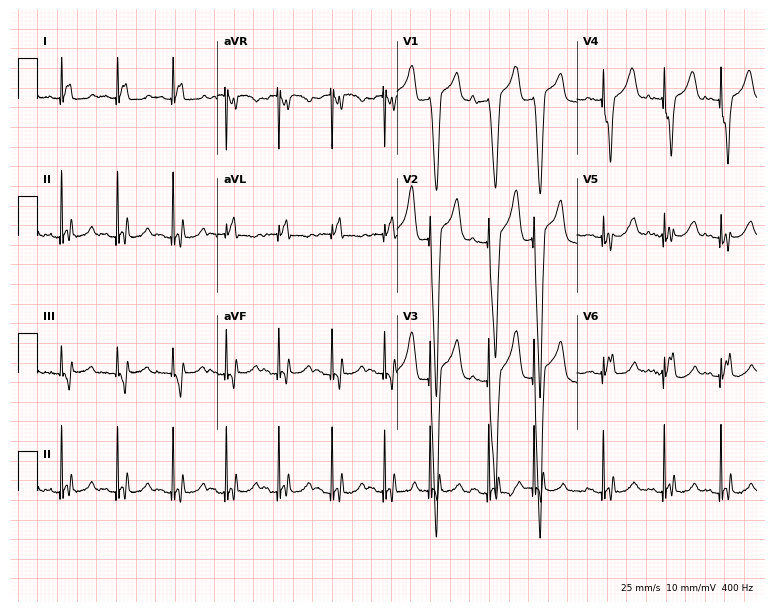
Resting 12-lead electrocardiogram. Patient: a male, 84 years old. None of these six findings is recorded: first-degree AV block, right bundle branch block (RBBB), left bundle branch block (LBBB), sinus bradycardia, atrial fibrillation (AF), sinus tachycardia. Findings outside these six are not listed.